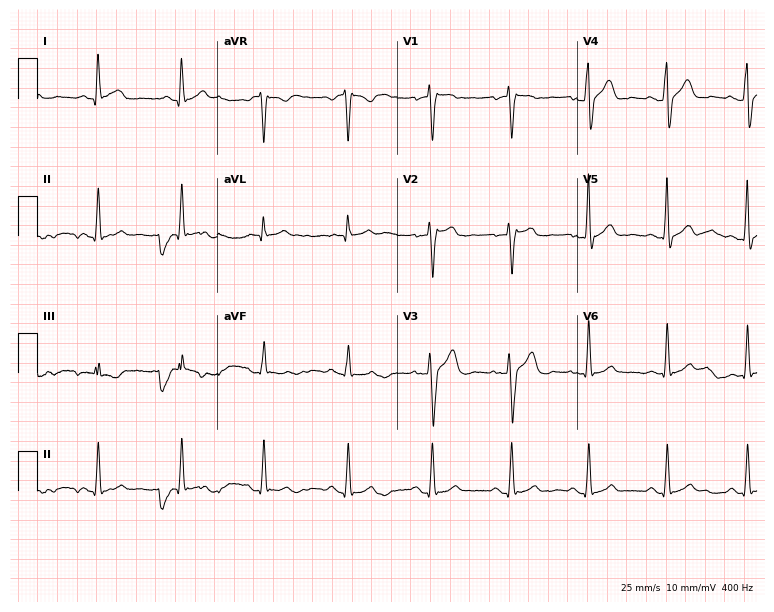
ECG — a male, 35 years old. Screened for six findings — first-degree AV block, right bundle branch block (RBBB), left bundle branch block (LBBB), sinus bradycardia, atrial fibrillation (AF), sinus tachycardia — none is recorded. Other findings, if any, are not listed.